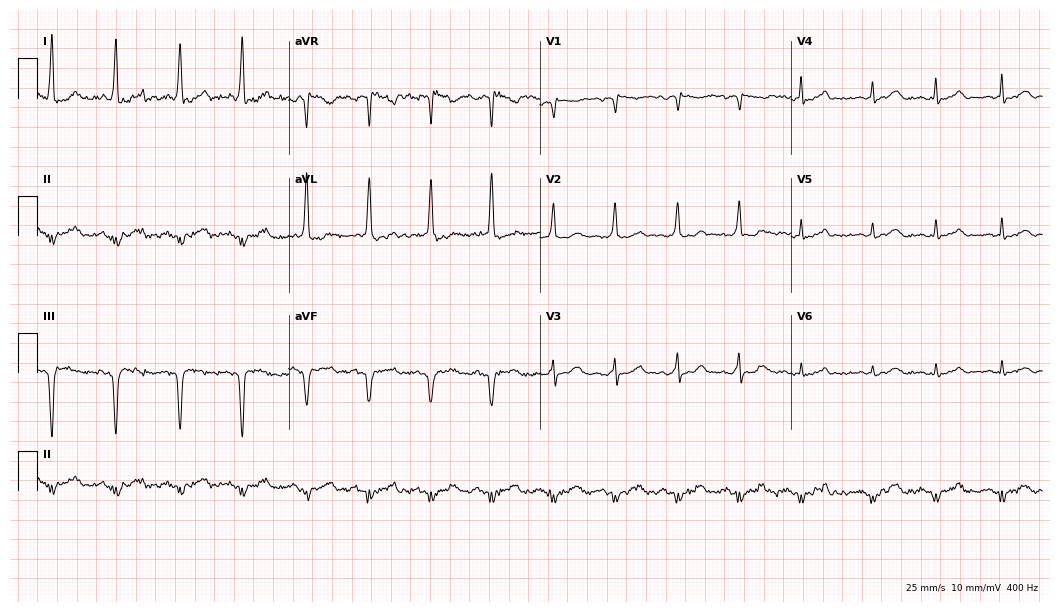
Electrocardiogram, a 53-year-old female patient. Of the six screened findings (first-degree AV block, right bundle branch block, left bundle branch block, sinus bradycardia, atrial fibrillation, sinus tachycardia), none is recorded. Other findings, if any, are not listed.